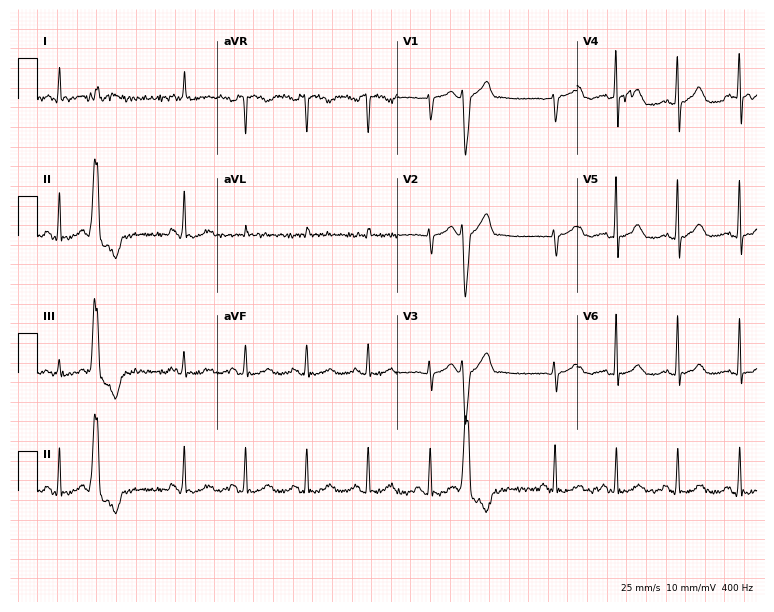
ECG (7.3-second recording at 400 Hz) — a man, 67 years old. Screened for six findings — first-degree AV block, right bundle branch block, left bundle branch block, sinus bradycardia, atrial fibrillation, sinus tachycardia — none is recorded. Findings outside these six are not listed.